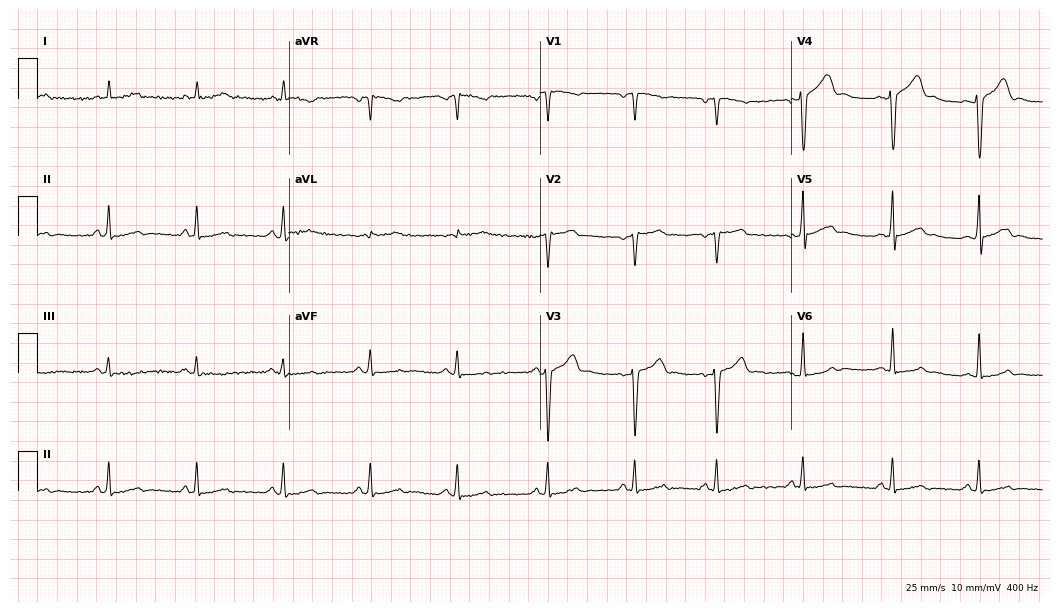
Electrocardiogram, a female, 66 years old. Overall reading on record: normal ECG.